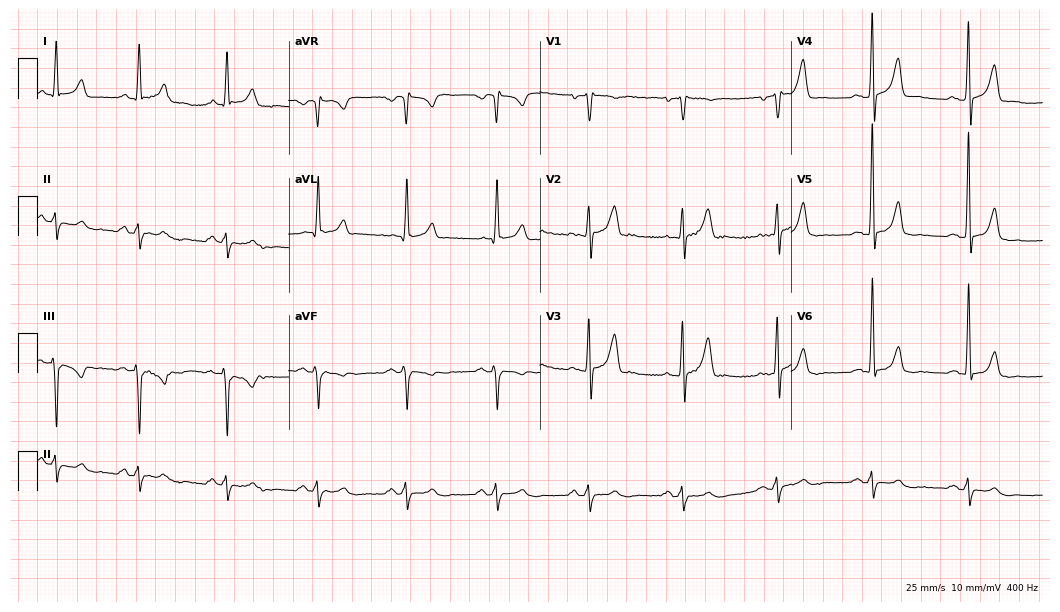
Electrocardiogram, a man, 47 years old. Of the six screened findings (first-degree AV block, right bundle branch block, left bundle branch block, sinus bradycardia, atrial fibrillation, sinus tachycardia), none is recorded.